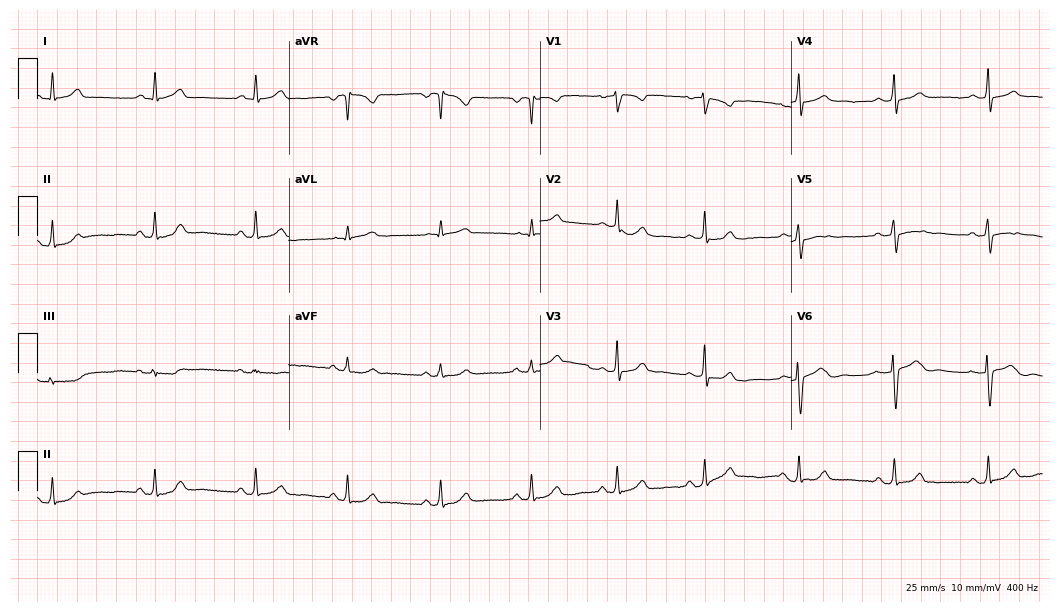
Resting 12-lead electrocardiogram (10.2-second recording at 400 Hz). Patient: a female, 33 years old. Read as a normal ECG.